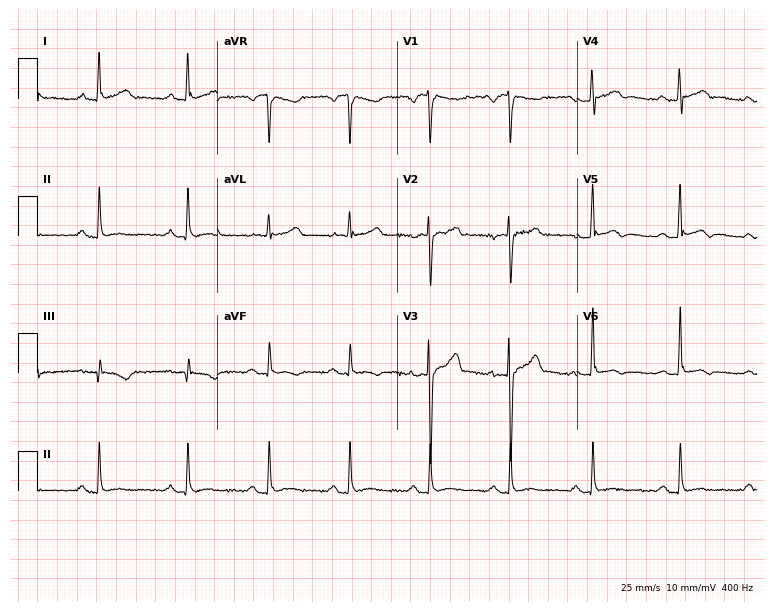
12-lead ECG from a male patient, 29 years old. No first-degree AV block, right bundle branch block (RBBB), left bundle branch block (LBBB), sinus bradycardia, atrial fibrillation (AF) or sinus tachycardia recorded for this tracing.